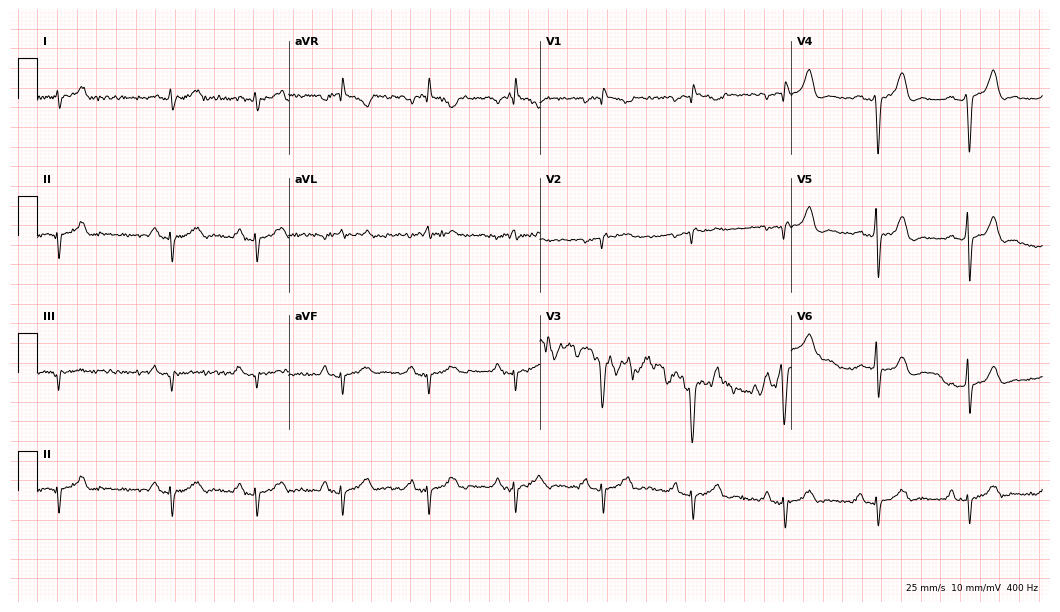
12-lead ECG (10.2-second recording at 400 Hz) from a man, 55 years old. Screened for six findings — first-degree AV block, right bundle branch block, left bundle branch block, sinus bradycardia, atrial fibrillation, sinus tachycardia — none is recorded. Findings outside these six are not listed.